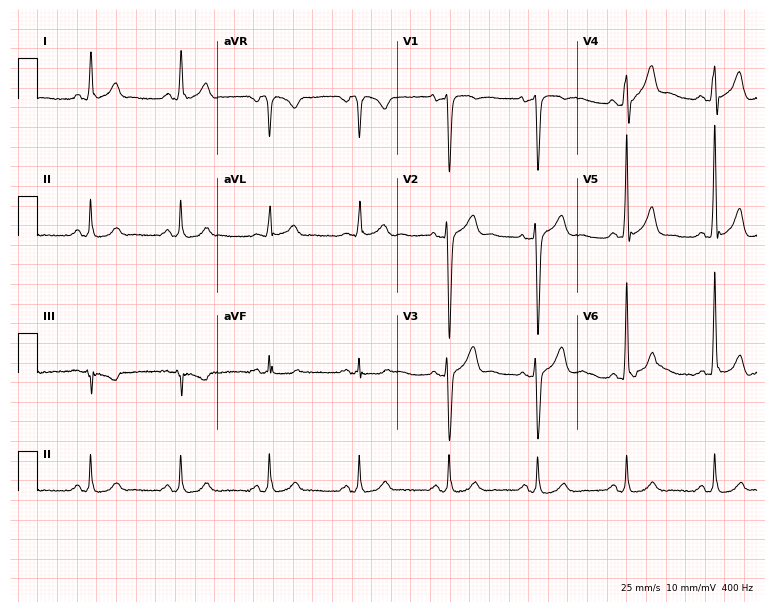
ECG (7.3-second recording at 400 Hz) — a male, 56 years old. Screened for six findings — first-degree AV block, right bundle branch block (RBBB), left bundle branch block (LBBB), sinus bradycardia, atrial fibrillation (AF), sinus tachycardia — none is recorded. Only these six findings were labelled.